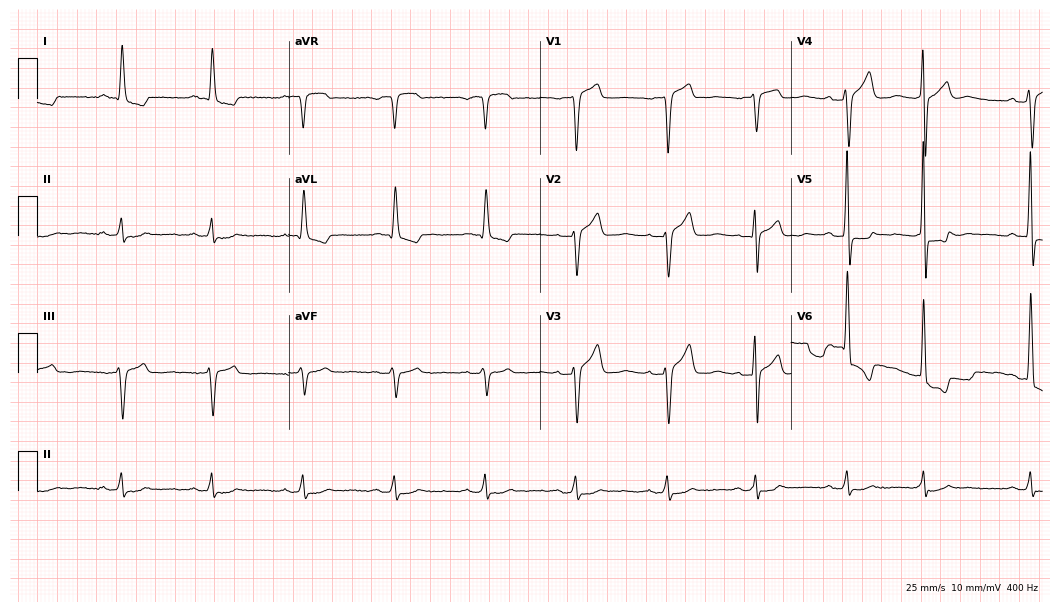
Electrocardiogram, a man, 84 years old. Of the six screened findings (first-degree AV block, right bundle branch block, left bundle branch block, sinus bradycardia, atrial fibrillation, sinus tachycardia), none is recorded.